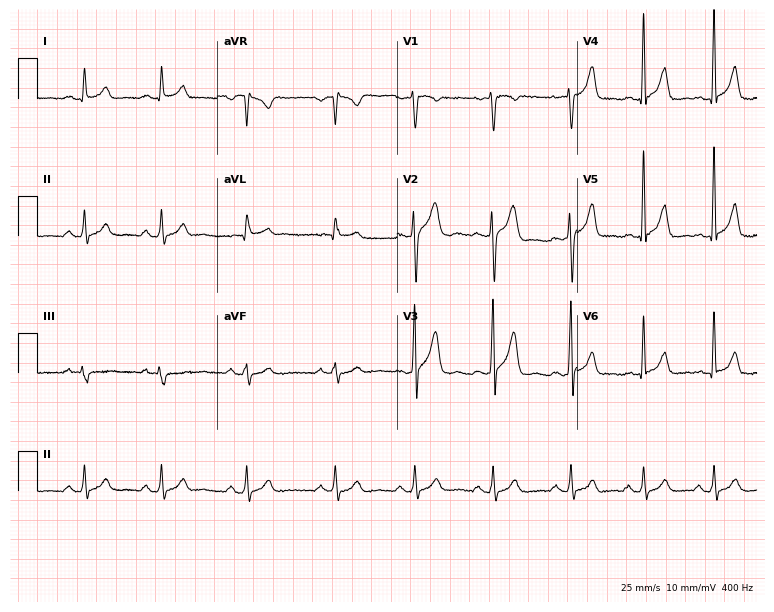
Standard 12-lead ECG recorded from a man, 35 years old. Read as a normal ECG.